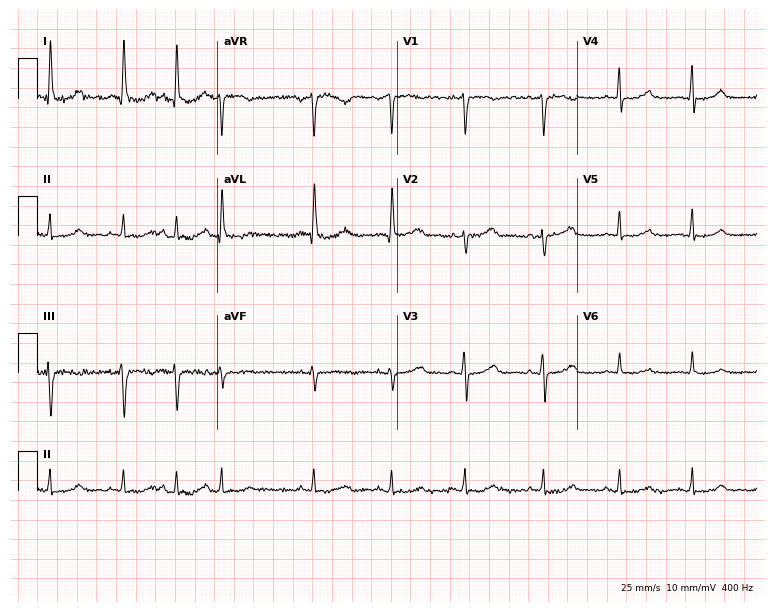
12-lead ECG from a woman, 52 years old (7.3-second recording at 400 Hz). No first-degree AV block, right bundle branch block (RBBB), left bundle branch block (LBBB), sinus bradycardia, atrial fibrillation (AF) or sinus tachycardia recorded for this tracing.